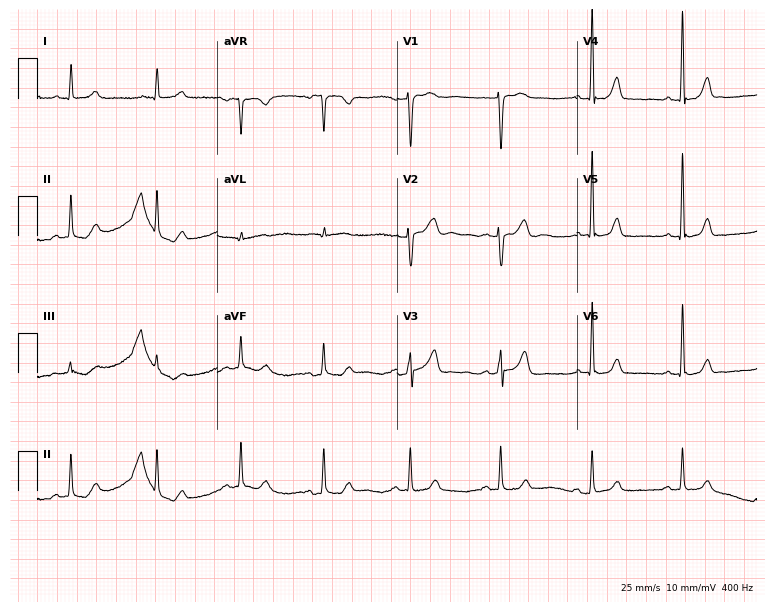
Standard 12-lead ECG recorded from a female patient, 56 years old (7.3-second recording at 400 Hz). None of these six findings is recorded: first-degree AV block, right bundle branch block, left bundle branch block, sinus bradycardia, atrial fibrillation, sinus tachycardia.